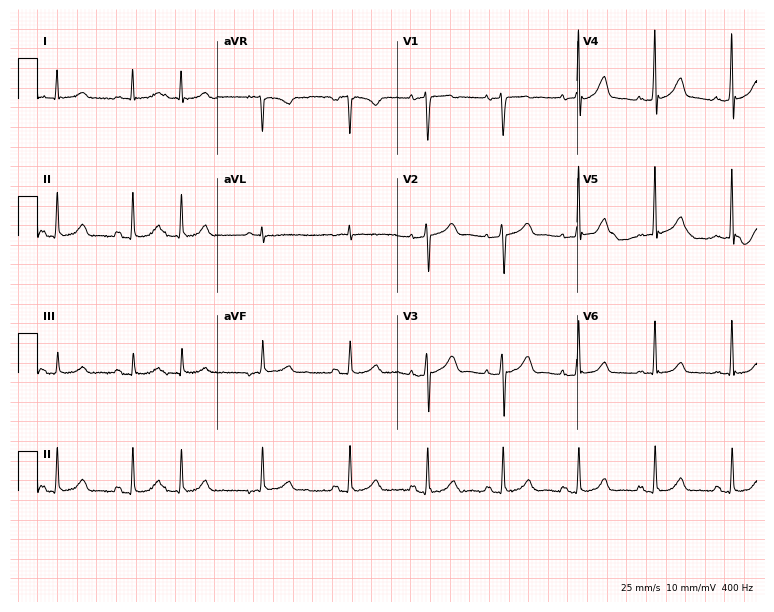
12-lead ECG (7.3-second recording at 400 Hz) from a 79-year-old female. Labelled as a normal ECG.